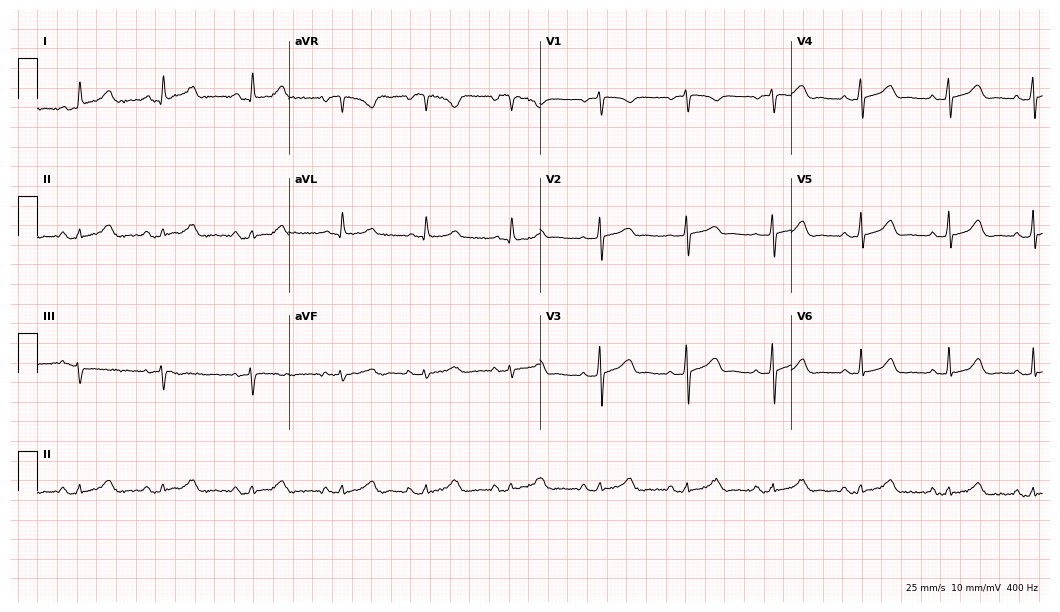
Electrocardiogram (10.2-second recording at 400 Hz), a female patient, 60 years old. Of the six screened findings (first-degree AV block, right bundle branch block, left bundle branch block, sinus bradycardia, atrial fibrillation, sinus tachycardia), none is recorded. Other findings, if any, are not listed.